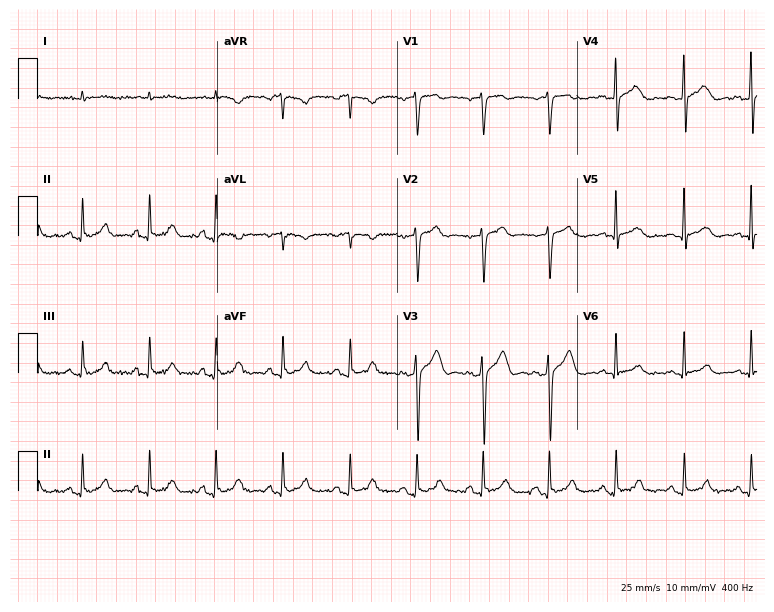
Electrocardiogram, a 70-year-old man. Of the six screened findings (first-degree AV block, right bundle branch block (RBBB), left bundle branch block (LBBB), sinus bradycardia, atrial fibrillation (AF), sinus tachycardia), none is recorded. Findings outside these six are not listed.